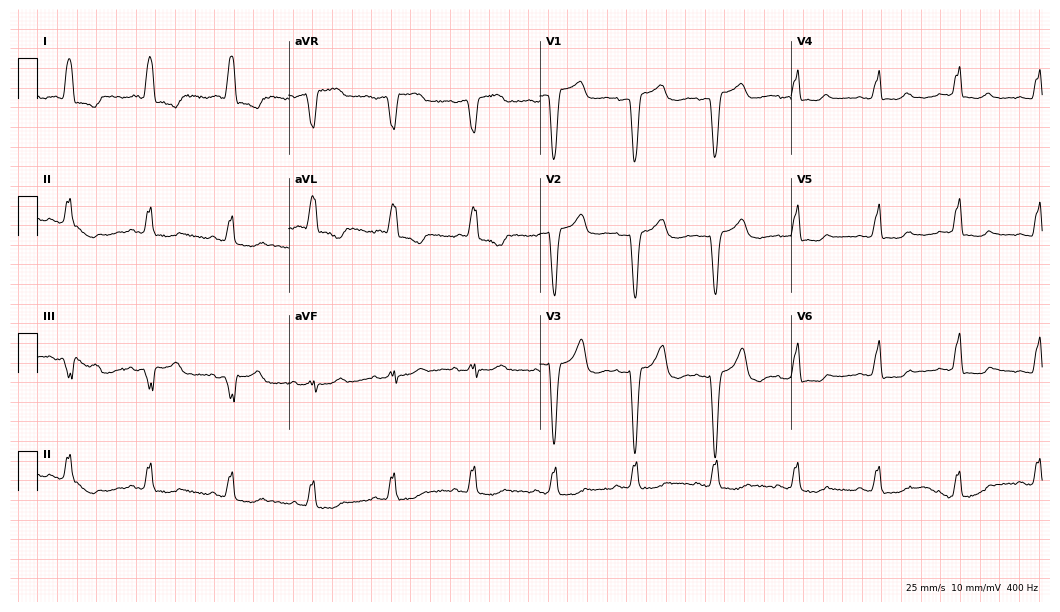
Standard 12-lead ECG recorded from a 77-year-old woman (10.2-second recording at 400 Hz). The tracing shows left bundle branch block.